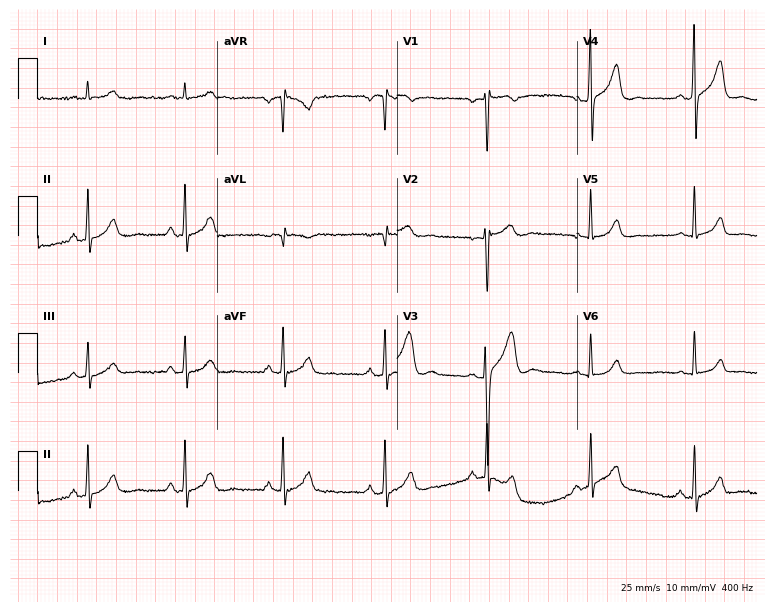
12-lead ECG (7.3-second recording at 400 Hz) from a 41-year-old male. Labelled as a normal ECG.